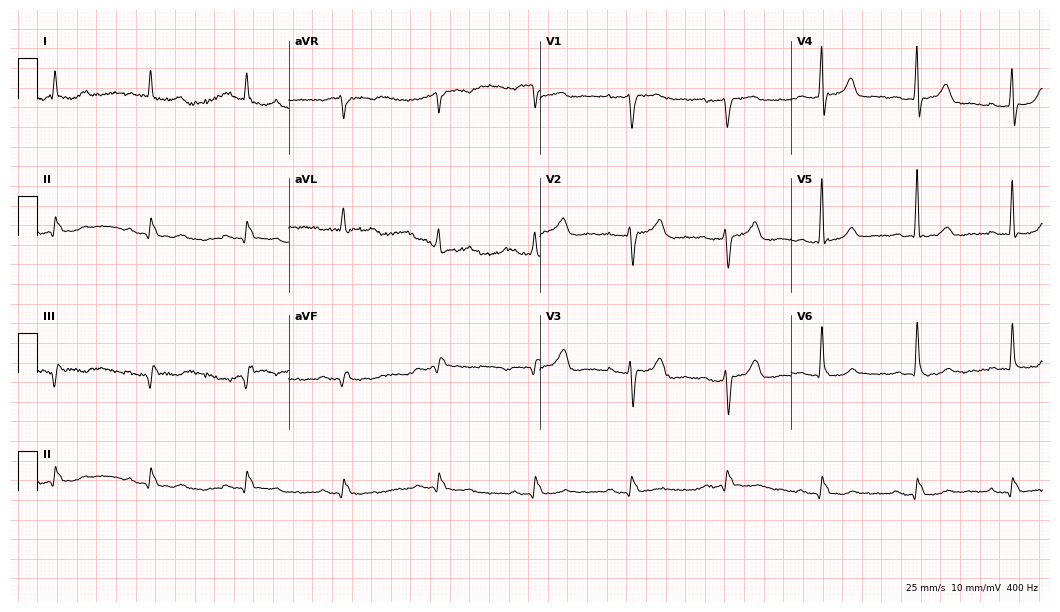
12-lead ECG from an 83-year-old man (10.2-second recording at 400 Hz). No first-degree AV block, right bundle branch block, left bundle branch block, sinus bradycardia, atrial fibrillation or sinus tachycardia recorded for this tracing. Findings outside these six are not listed.